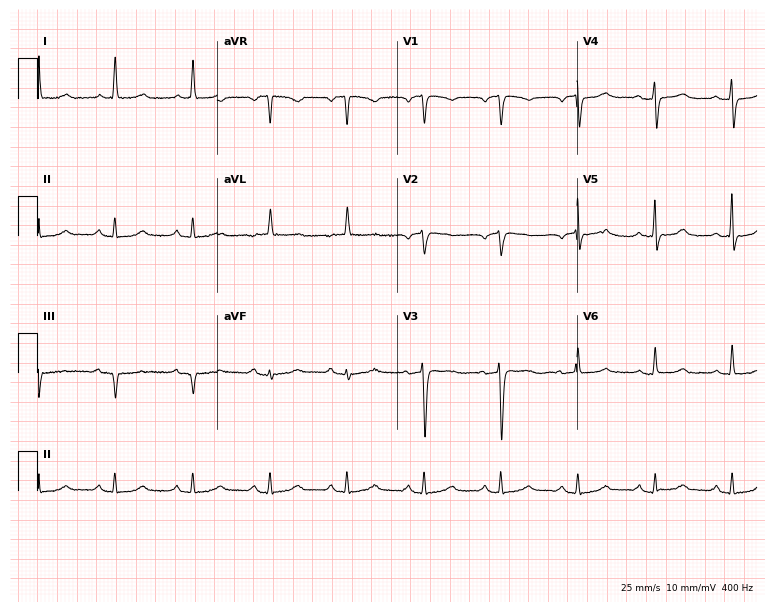
12-lead ECG from an 84-year-old woman (7.3-second recording at 400 Hz). No first-degree AV block, right bundle branch block, left bundle branch block, sinus bradycardia, atrial fibrillation or sinus tachycardia recorded for this tracing. Only these six findings were labelled.